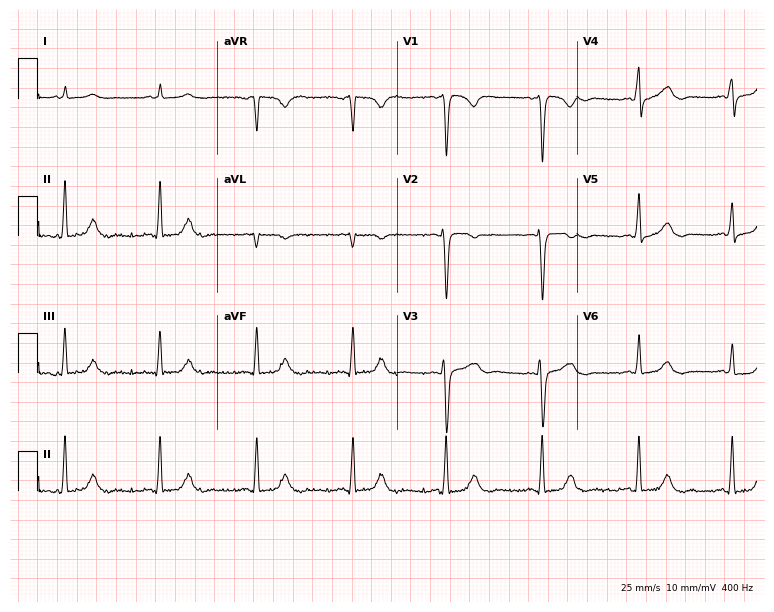
ECG — a male patient, 60 years old. Screened for six findings — first-degree AV block, right bundle branch block, left bundle branch block, sinus bradycardia, atrial fibrillation, sinus tachycardia — none is recorded. Other findings, if any, are not listed.